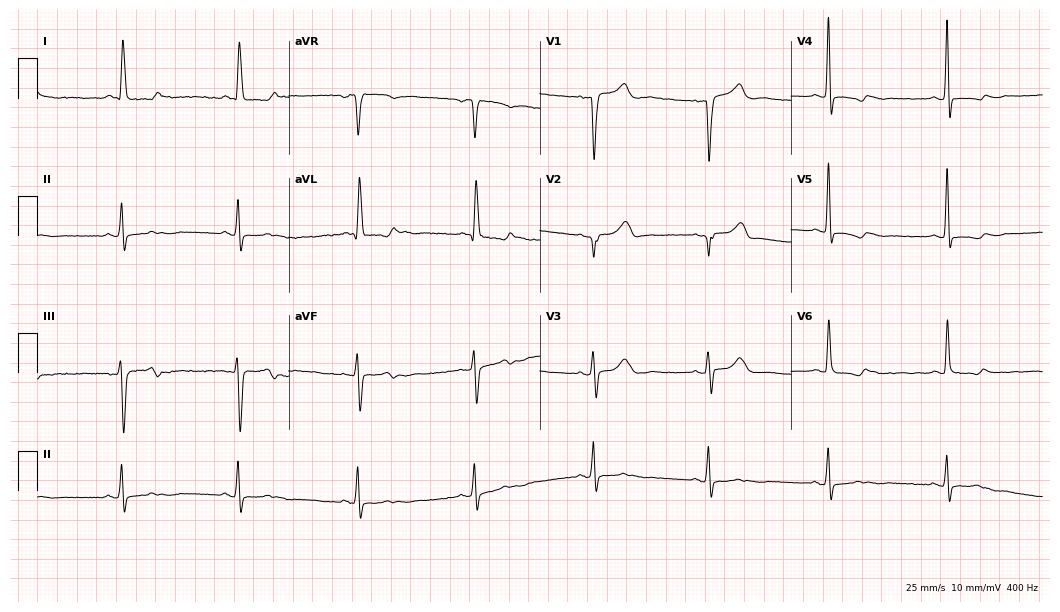
ECG — a 68-year-old female patient. Findings include sinus bradycardia (a sinus rate of 50 beats per minute or less).